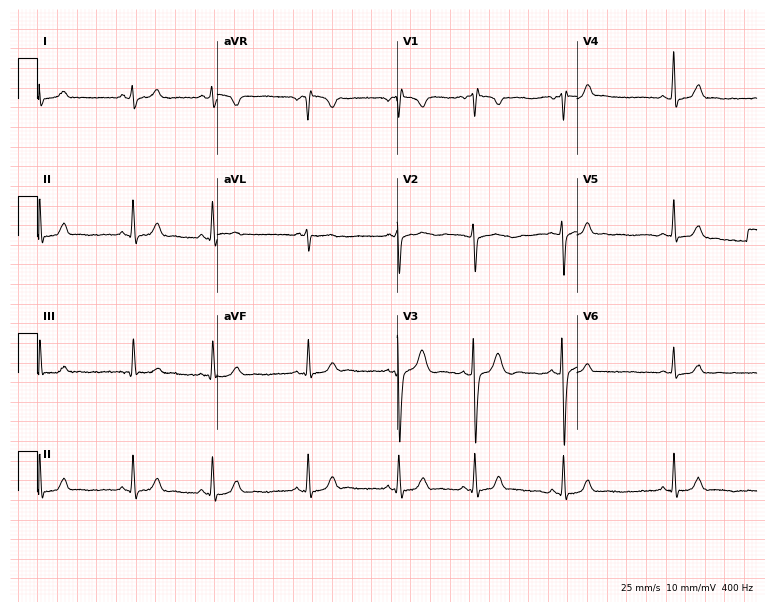
12-lead ECG from a 27-year-old man. Labelled as a normal ECG.